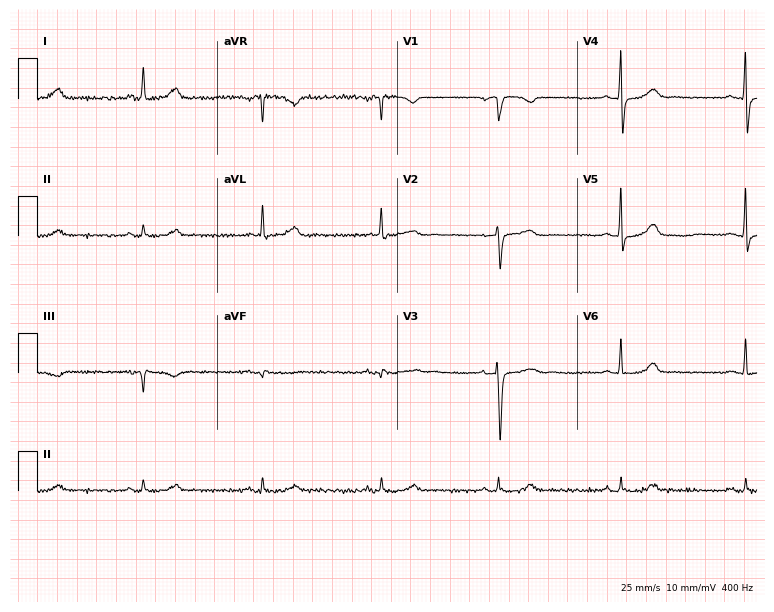
12-lead ECG from a woman, 61 years old (7.3-second recording at 400 Hz). Shows sinus bradycardia (a sinus rate of 50 beats per minute or less).